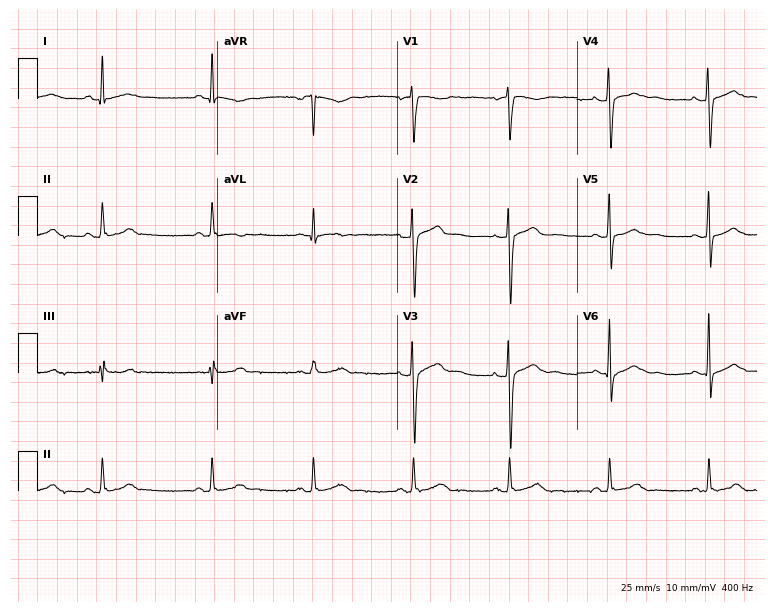
Electrocardiogram, a man, 33 years old. Of the six screened findings (first-degree AV block, right bundle branch block (RBBB), left bundle branch block (LBBB), sinus bradycardia, atrial fibrillation (AF), sinus tachycardia), none is recorded.